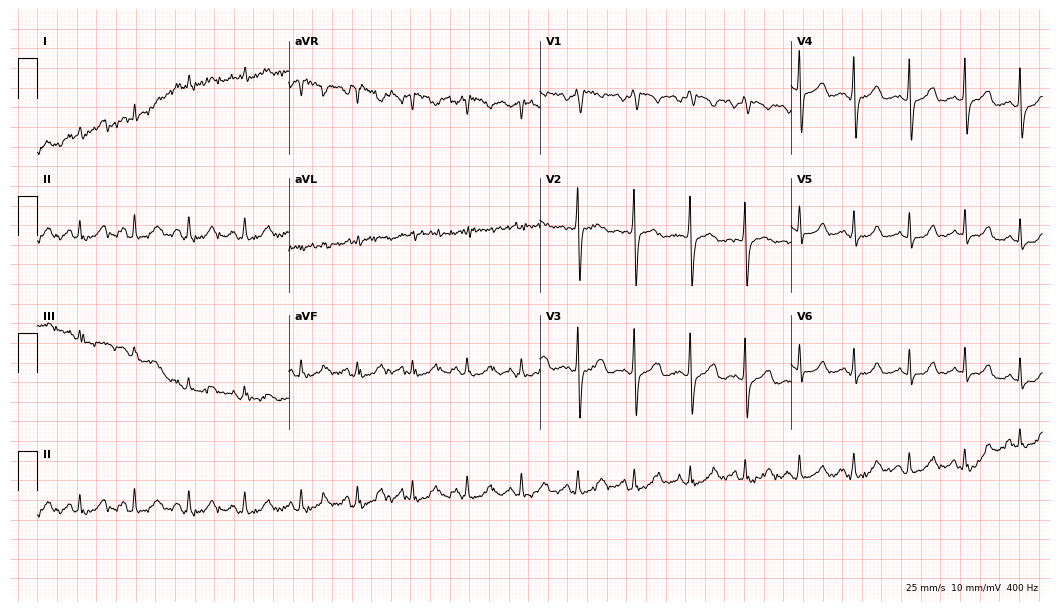
12-lead ECG from a male, 33 years old (10.2-second recording at 400 Hz). No first-degree AV block, right bundle branch block, left bundle branch block, sinus bradycardia, atrial fibrillation or sinus tachycardia recorded for this tracing.